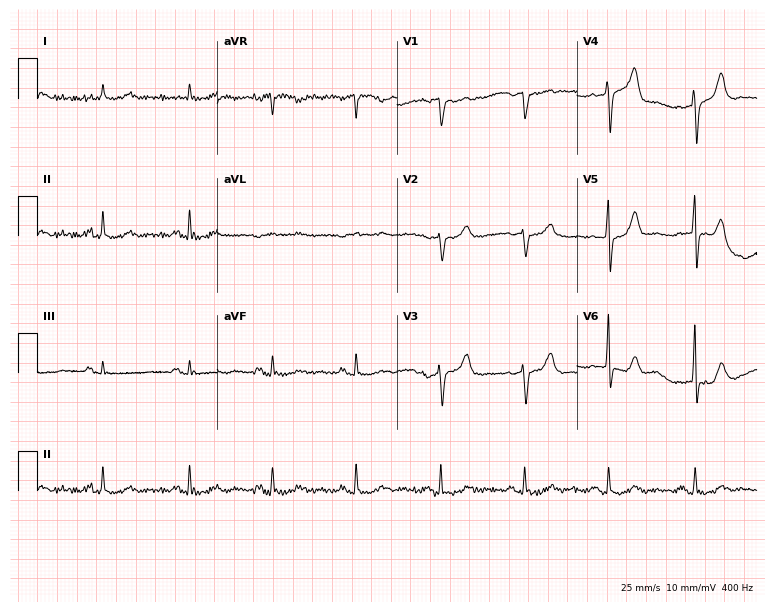
Standard 12-lead ECG recorded from a 77-year-old male (7.3-second recording at 400 Hz). None of these six findings is recorded: first-degree AV block, right bundle branch block, left bundle branch block, sinus bradycardia, atrial fibrillation, sinus tachycardia.